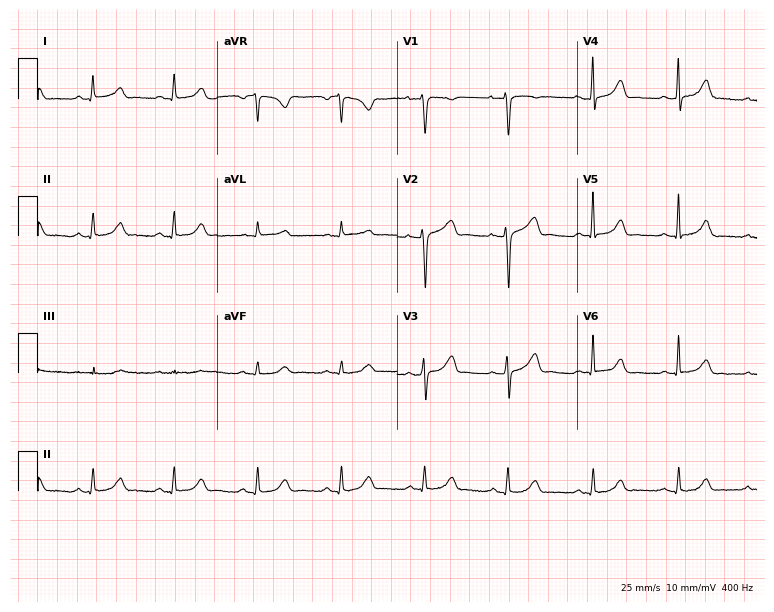
Resting 12-lead electrocardiogram (7.3-second recording at 400 Hz). Patient: a 44-year-old woman. Read as a normal ECG.